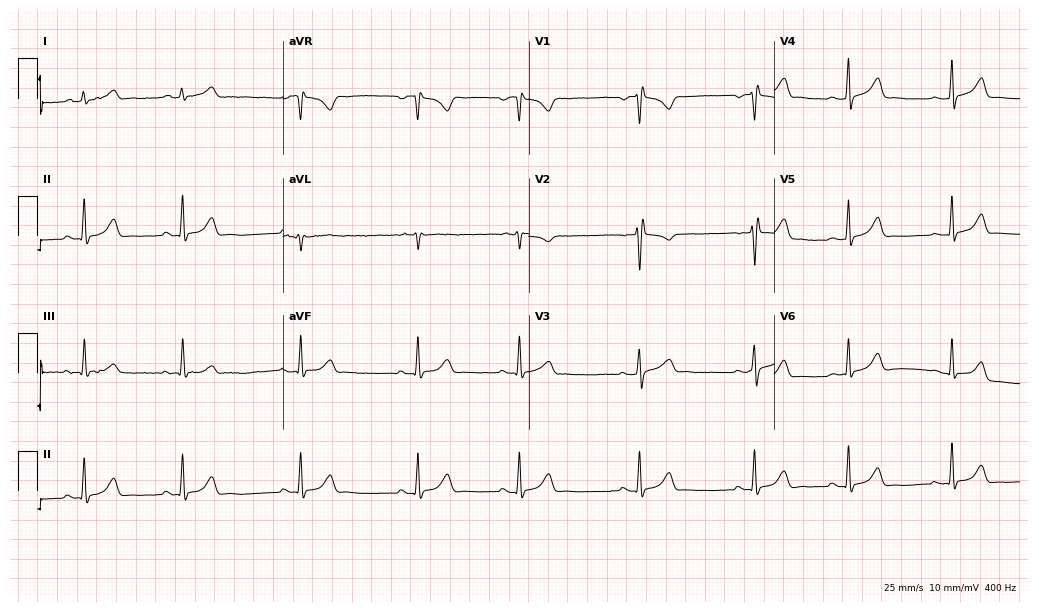
12-lead ECG (10-second recording at 400 Hz) from a woman, 19 years old. Screened for six findings — first-degree AV block, right bundle branch block, left bundle branch block, sinus bradycardia, atrial fibrillation, sinus tachycardia — none is recorded. Only these six findings were labelled.